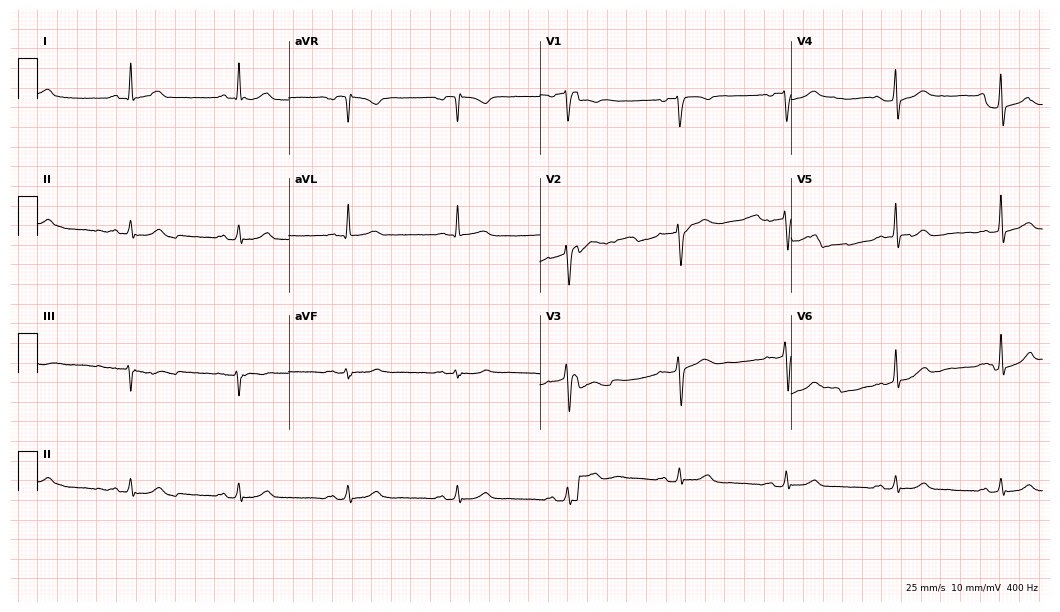
ECG (10.2-second recording at 400 Hz) — a man, 55 years old. Labelled as a normal ECG.